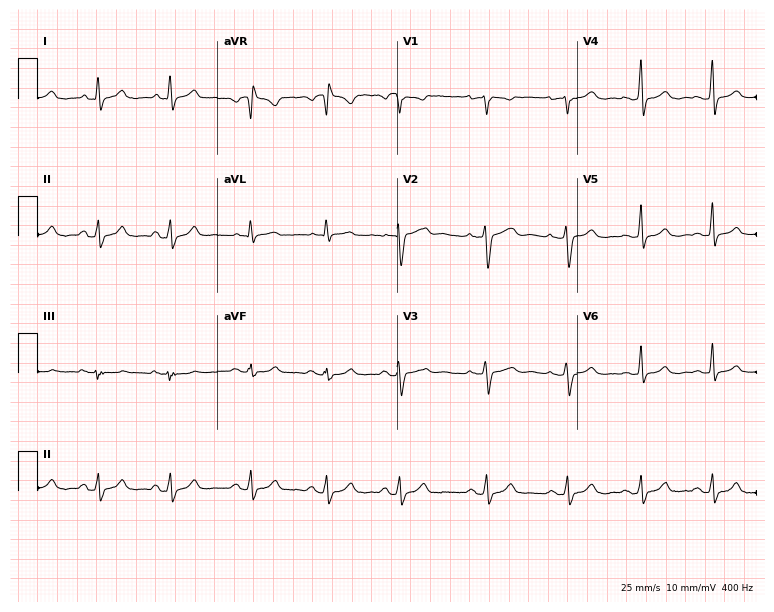
Standard 12-lead ECG recorded from a woman, 32 years old (7.3-second recording at 400 Hz). None of these six findings is recorded: first-degree AV block, right bundle branch block, left bundle branch block, sinus bradycardia, atrial fibrillation, sinus tachycardia. Findings outside these six are not listed.